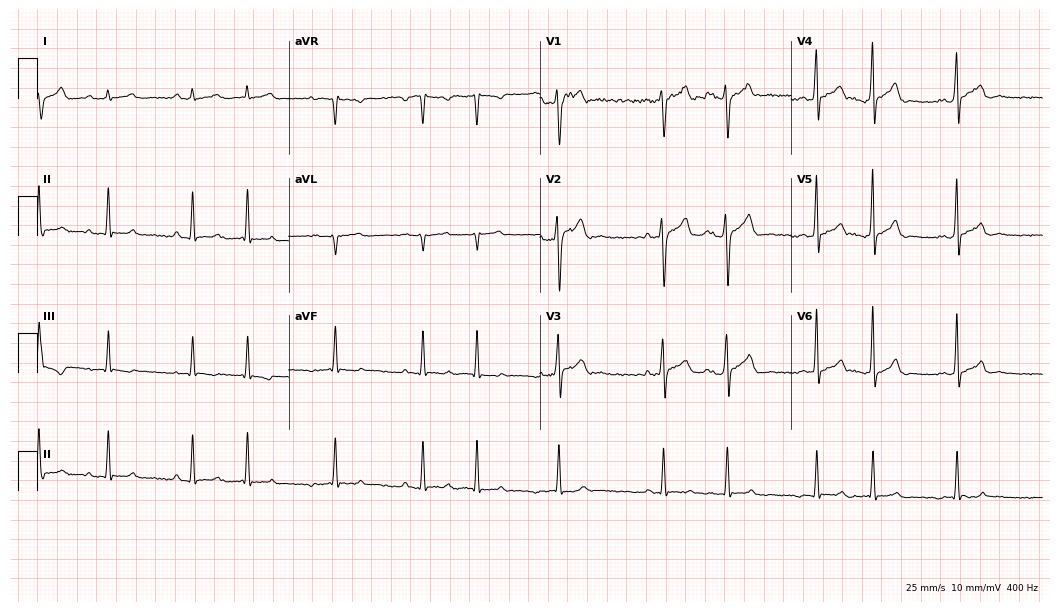
Standard 12-lead ECG recorded from a man, 23 years old (10.2-second recording at 400 Hz). None of these six findings is recorded: first-degree AV block, right bundle branch block, left bundle branch block, sinus bradycardia, atrial fibrillation, sinus tachycardia. Other findings, if any, are not listed.